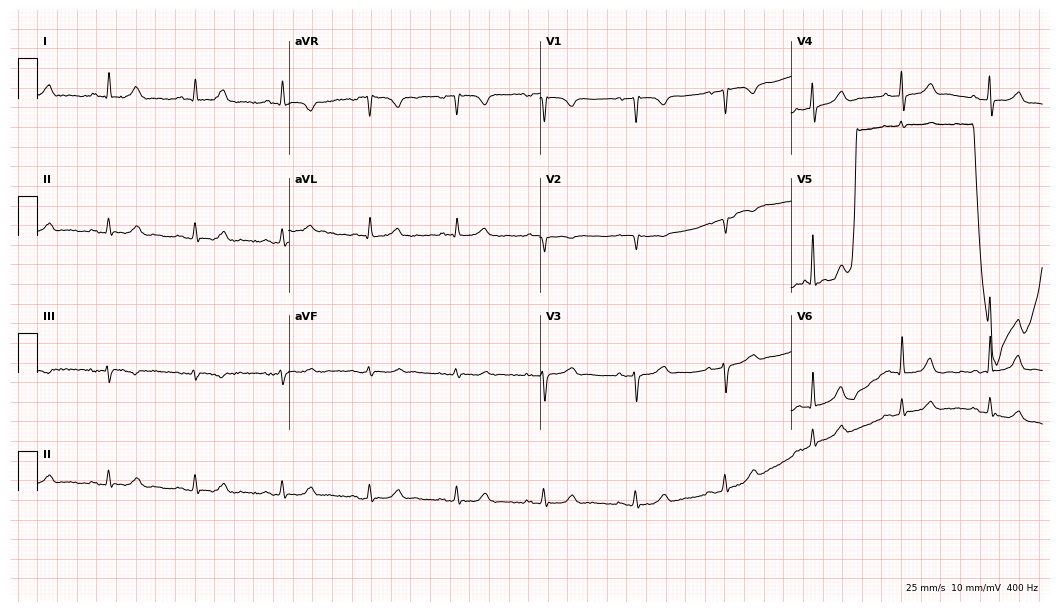
Standard 12-lead ECG recorded from an 85-year-old woman (10.2-second recording at 400 Hz). None of these six findings is recorded: first-degree AV block, right bundle branch block, left bundle branch block, sinus bradycardia, atrial fibrillation, sinus tachycardia. Other findings, if any, are not listed.